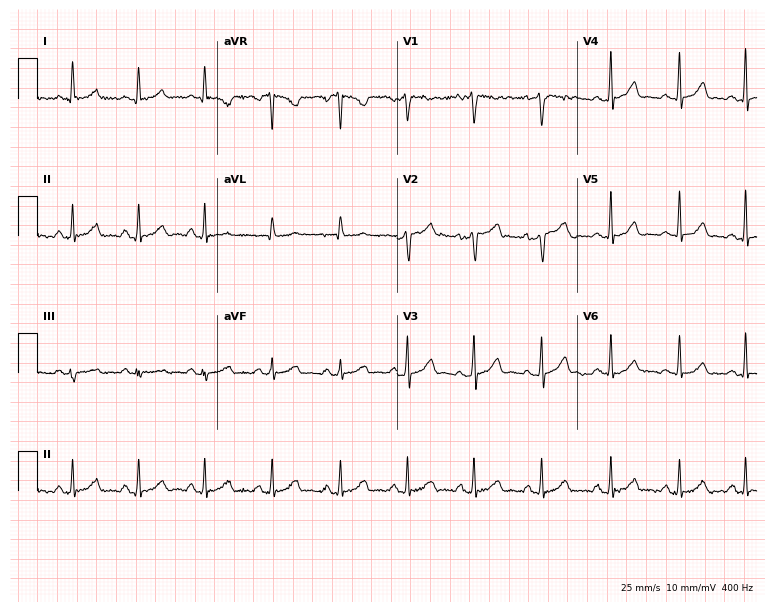
12-lead ECG from a female patient, 50 years old. Screened for six findings — first-degree AV block, right bundle branch block, left bundle branch block, sinus bradycardia, atrial fibrillation, sinus tachycardia — none is recorded.